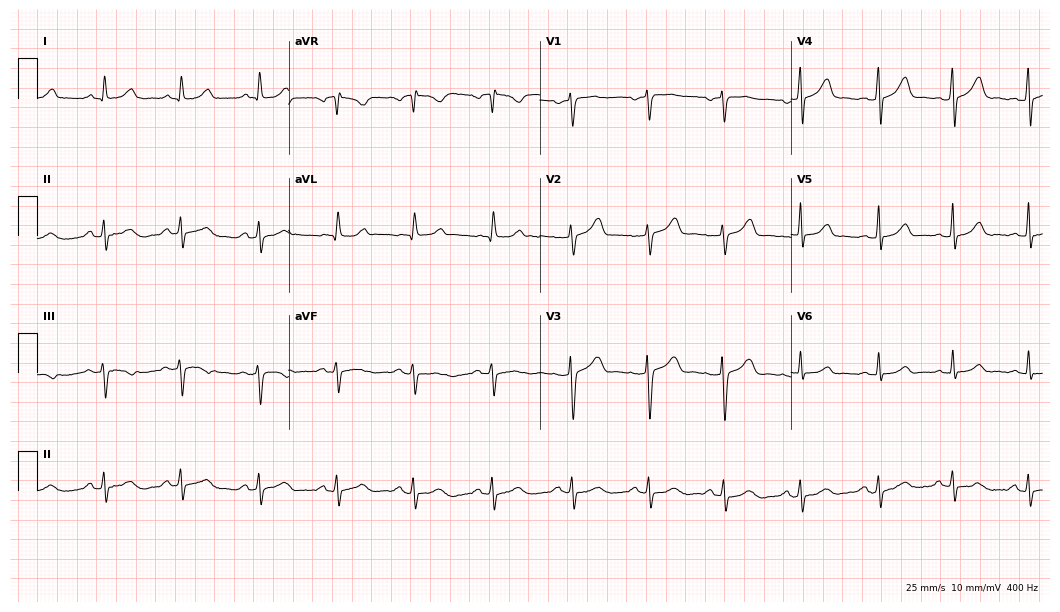
Resting 12-lead electrocardiogram (10.2-second recording at 400 Hz). Patient: a female, 49 years old. Read as a normal ECG.